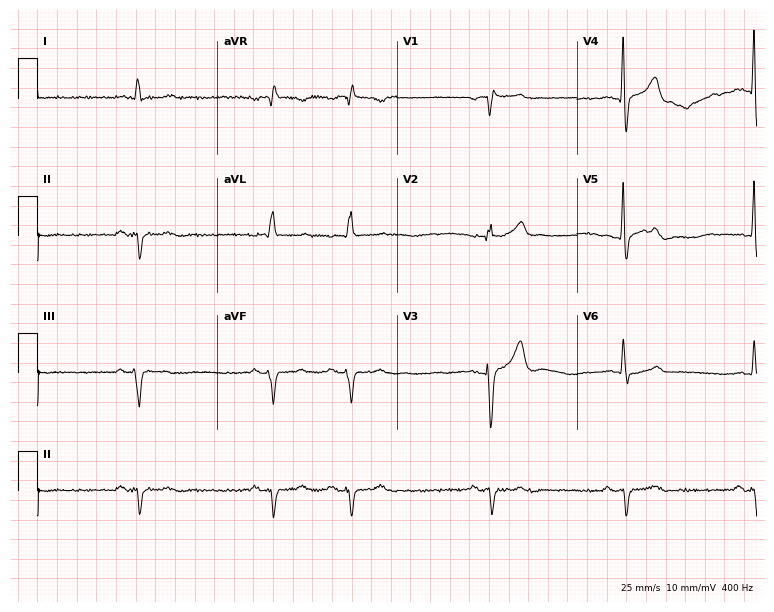
Resting 12-lead electrocardiogram (7.3-second recording at 400 Hz). Patient: a male, 83 years old. None of these six findings is recorded: first-degree AV block, right bundle branch block, left bundle branch block, sinus bradycardia, atrial fibrillation, sinus tachycardia.